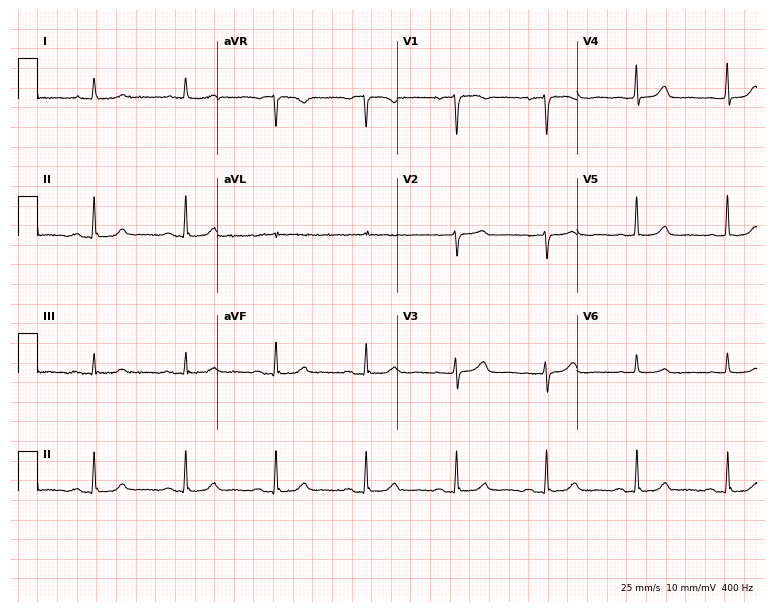
12-lead ECG (7.3-second recording at 400 Hz) from a male patient, 83 years old. Screened for six findings — first-degree AV block, right bundle branch block (RBBB), left bundle branch block (LBBB), sinus bradycardia, atrial fibrillation (AF), sinus tachycardia — none is recorded.